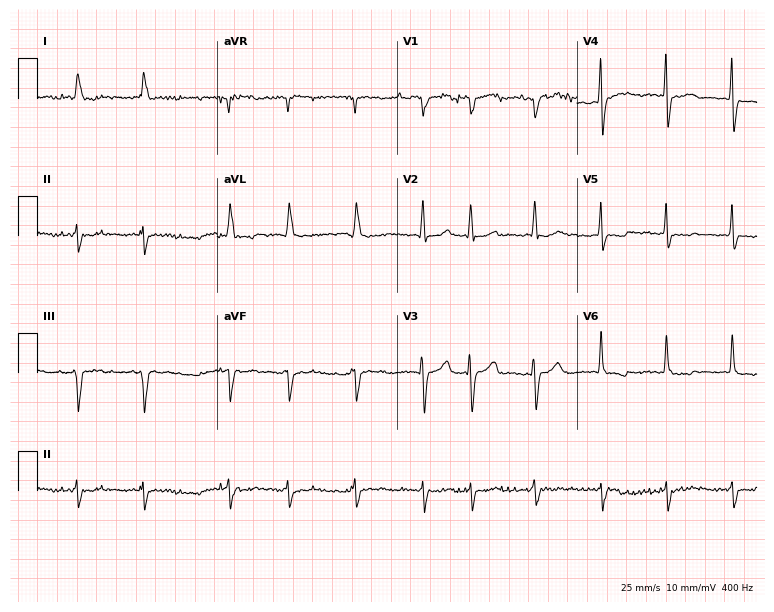
Electrocardiogram (7.3-second recording at 400 Hz), an 83-year-old man. Interpretation includes atrial fibrillation (AF).